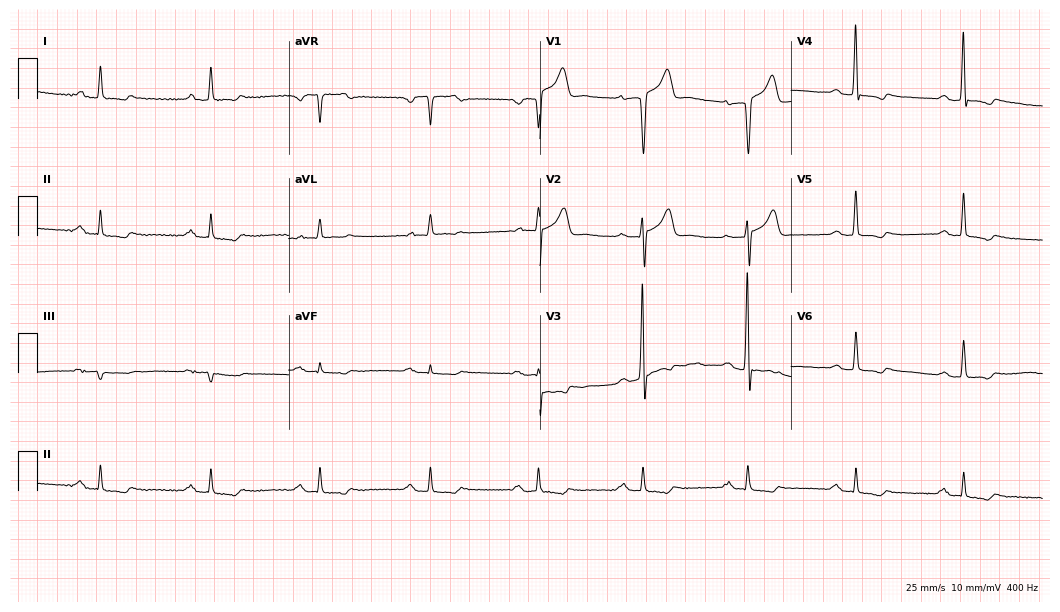
Electrocardiogram, a male, 67 years old. Interpretation includes first-degree AV block.